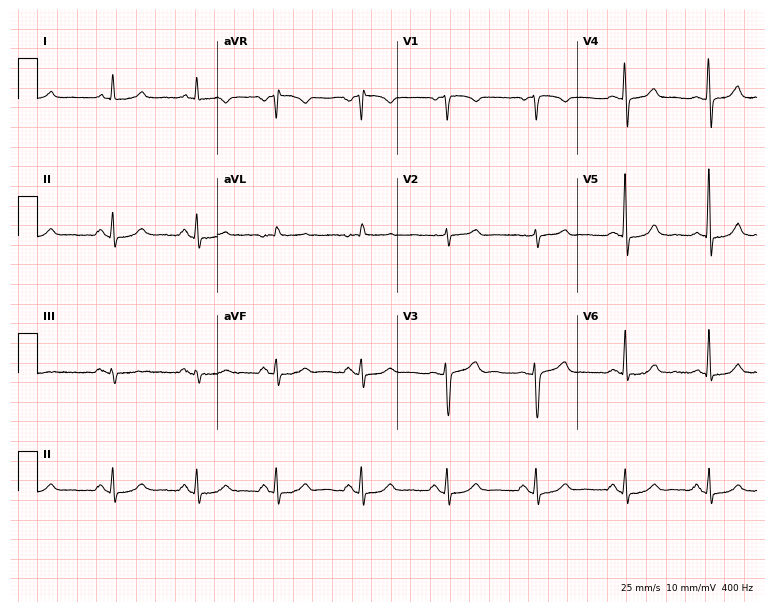
12-lead ECG from a 50-year-old woman (7.3-second recording at 400 Hz). Recorded interpretation: within normal limits.